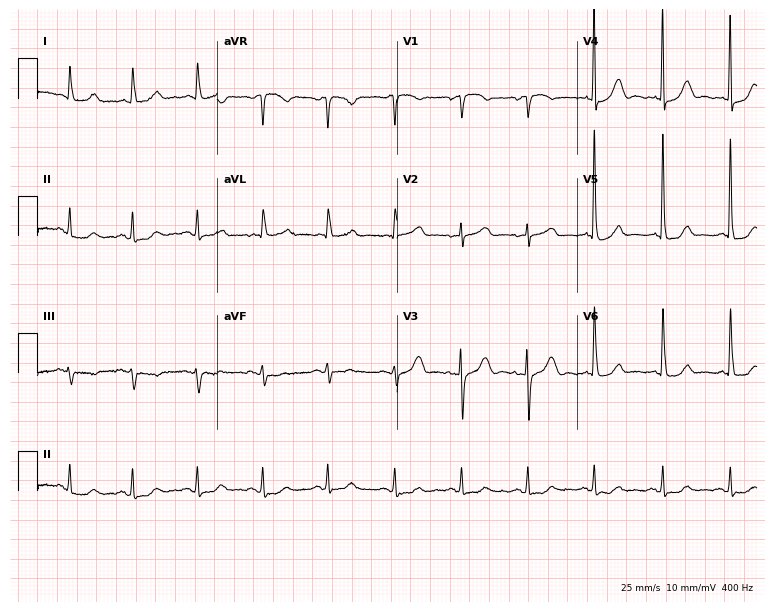
Electrocardiogram, a 27-year-old woman. Overall reading on record: normal ECG.